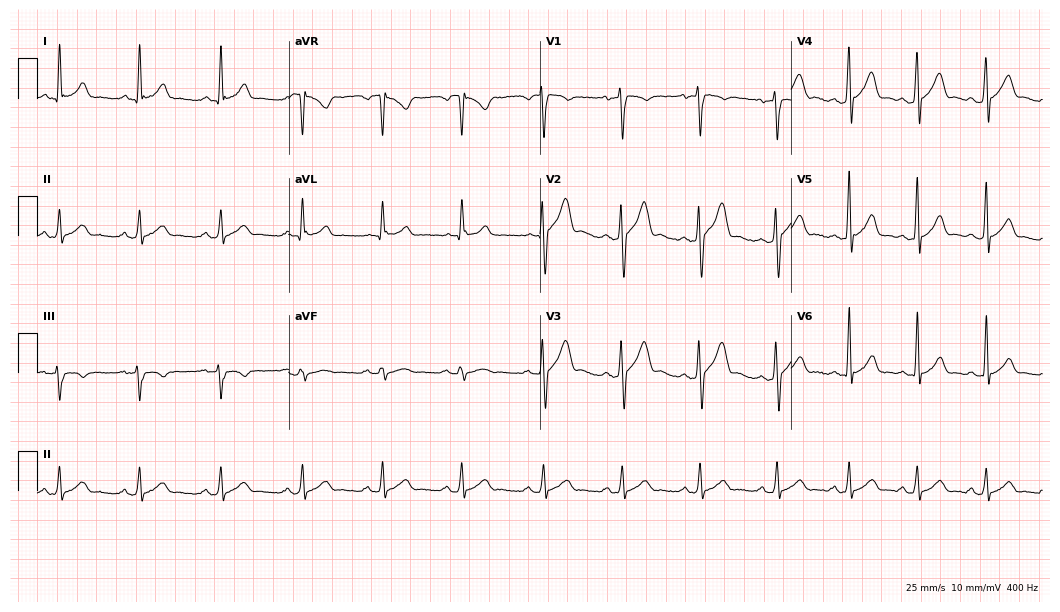
Electrocardiogram (10.2-second recording at 400 Hz), a male patient, 33 years old. Overall reading on record: normal ECG.